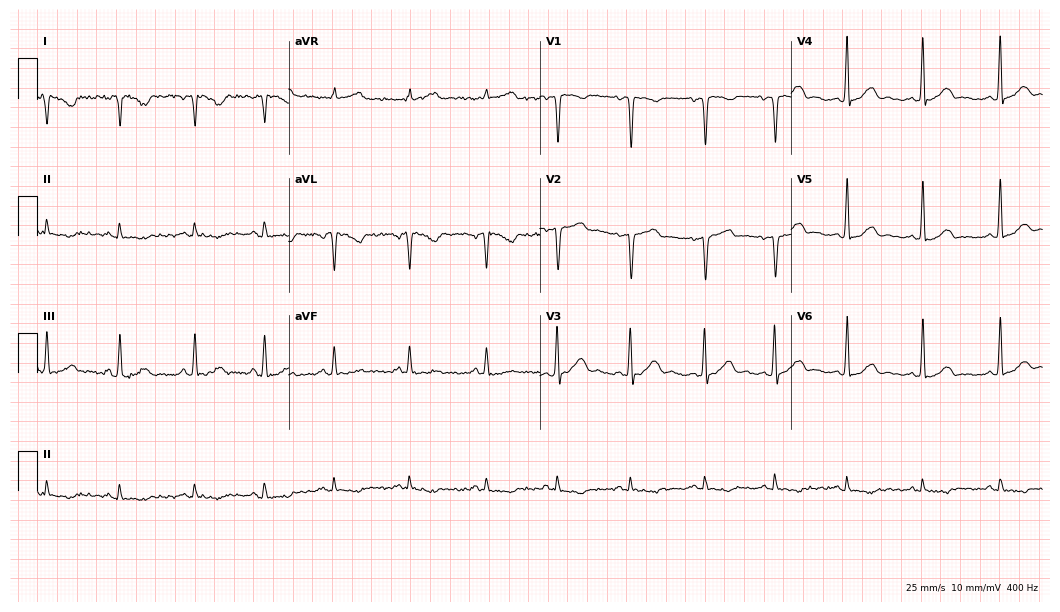
Standard 12-lead ECG recorded from a female patient, 45 years old (10.2-second recording at 400 Hz). None of these six findings is recorded: first-degree AV block, right bundle branch block (RBBB), left bundle branch block (LBBB), sinus bradycardia, atrial fibrillation (AF), sinus tachycardia.